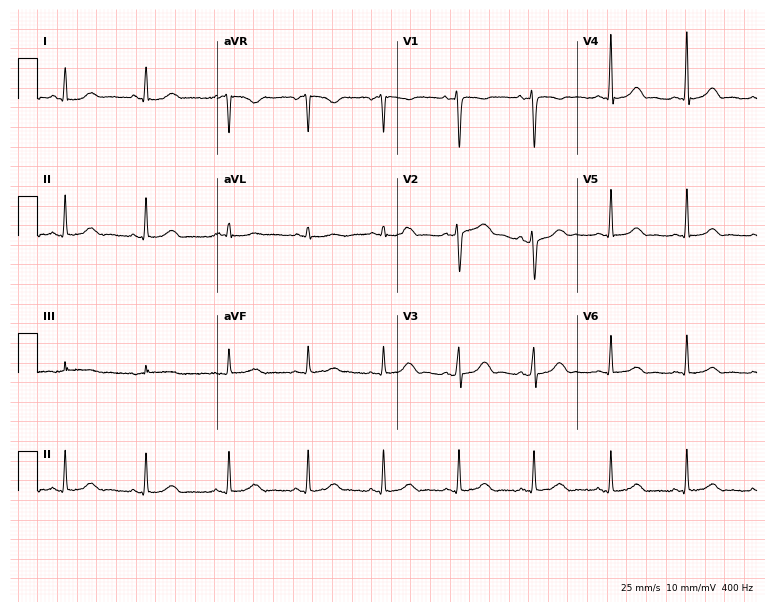
12-lead ECG from a female, 42 years old. No first-degree AV block, right bundle branch block, left bundle branch block, sinus bradycardia, atrial fibrillation or sinus tachycardia recorded for this tracing.